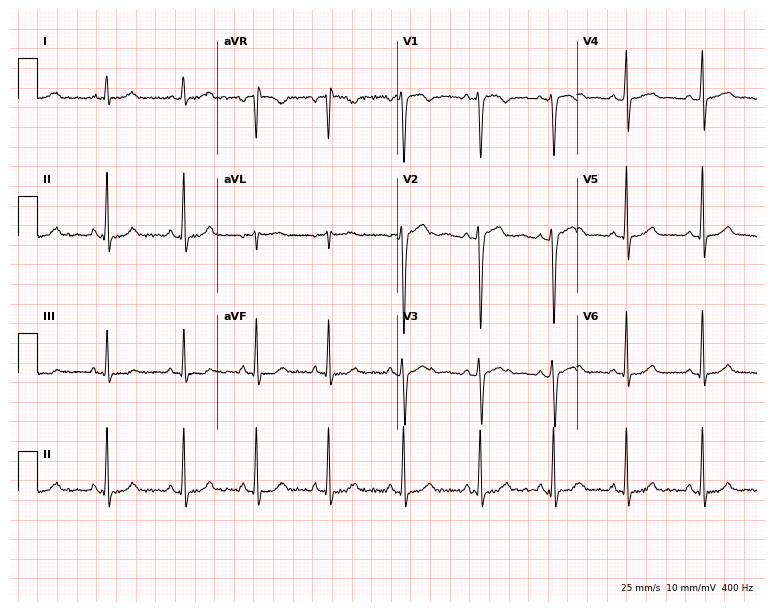
12-lead ECG from a female patient, 27 years old. No first-degree AV block, right bundle branch block, left bundle branch block, sinus bradycardia, atrial fibrillation or sinus tachycardia recorded for this tracing.